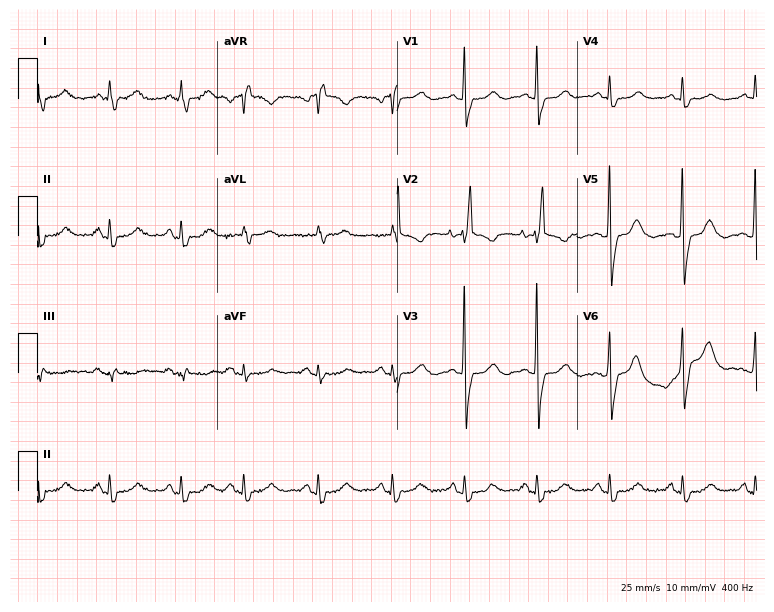
Resting 12-lead electrocardiogram (7.3-second recording at 400 Hz). Patient: an 83-year-old female. None of these six findings is recorded: first-degree AV block, right bundle branch block, left bundle branch block, sinus bradycardia, atrial fibrillation, sinus tachycardia. Only these six findings were labelled.